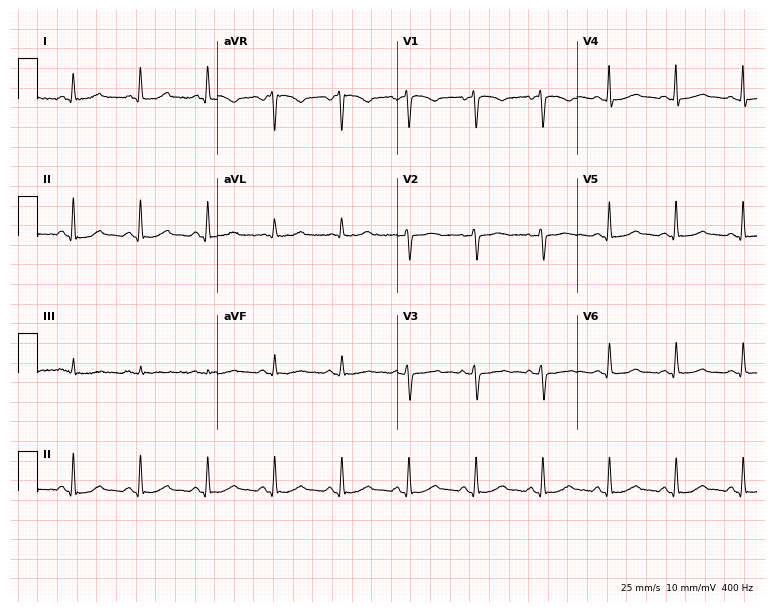
12-lead ECG from a woman, 50 years old (7.3-second recording at 400 Hz). Recorded interpretation: within normal limits.